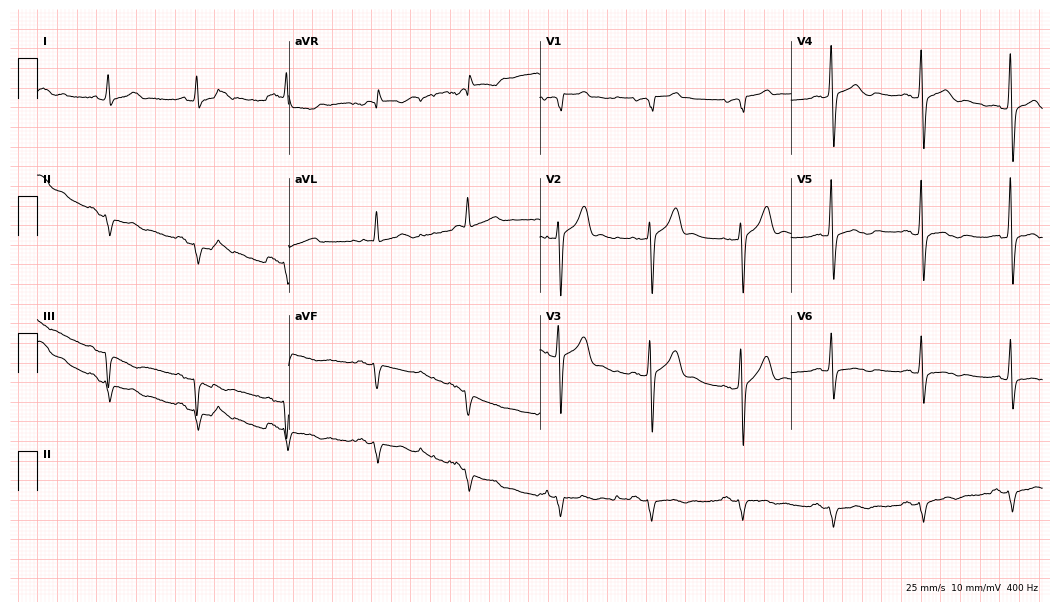
Resting 12-lead electrocardiogram. Patient: a man, 58 years old. None of these six findings is recorded: first-degree AV block, right bundle branch block, left bundle branch block, sinus bradycardia, atrial fibrillation, sinus tachycardia.